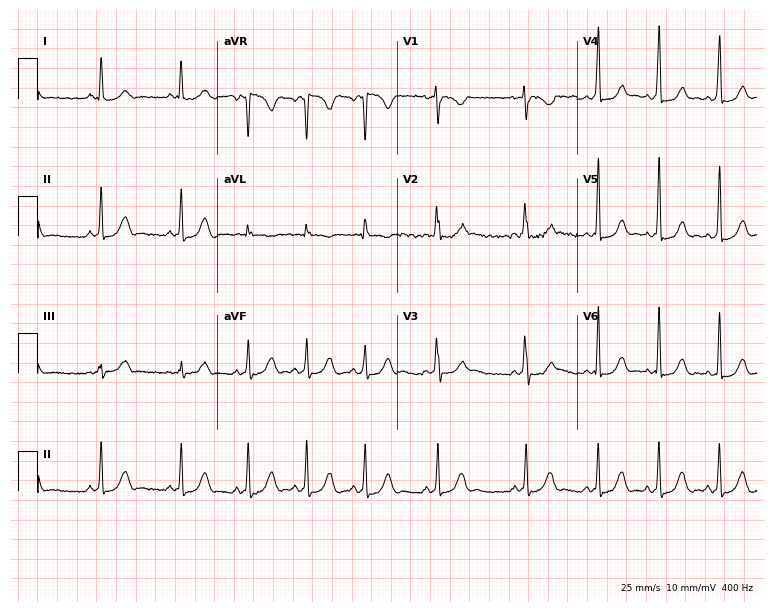
Resting 12-lead electrocardiogram. Patient: a woman, 21 years old. Read as a normal ECG.